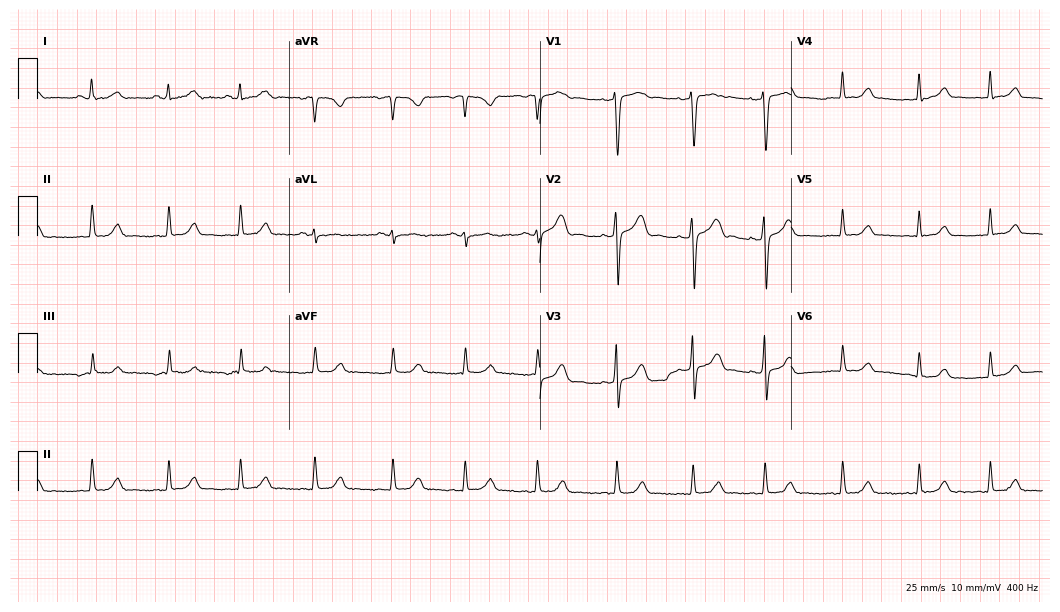
Electrocardiogram (10.2-second recording at 400 Hz), a woman, 30 years old. Overall reading on record: normal ECG.